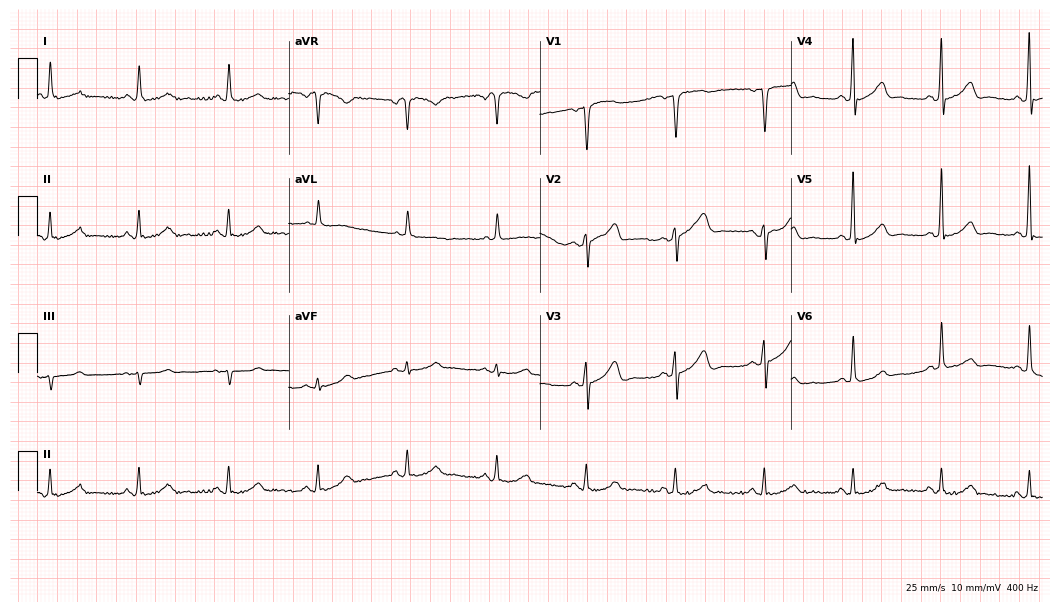
Resting 12-lead electrocardiogram. Patient: a 64-year-old female. Read as a normal ECG.